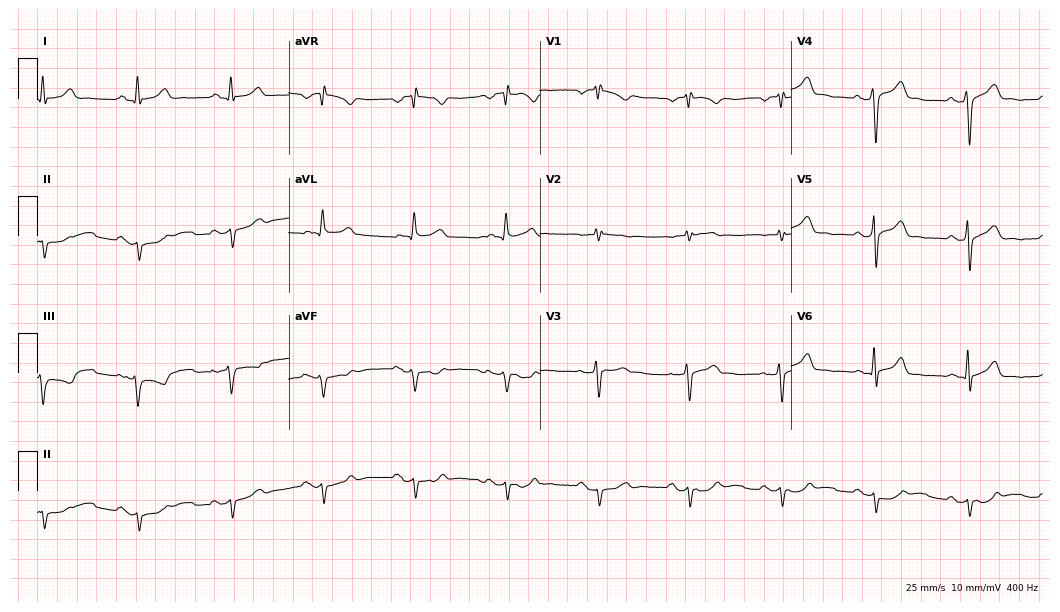
ECG (10.2-second recording at 400 Hz) — a male, 48 years old. Screened for six findings — first-degree AV block, right bundle branch block (RBBB), left bundle branch block (LBBB), sinus bradycardia, atrial fibrillation (AF), sinus tachycardia — none is recorded.